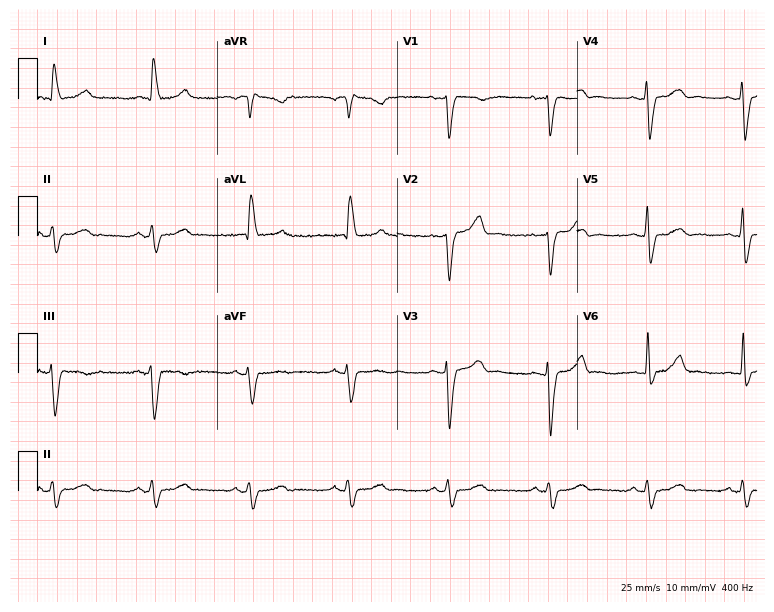
12-lead ECG from a 67-year-old female. Findings include left bundle branch block.